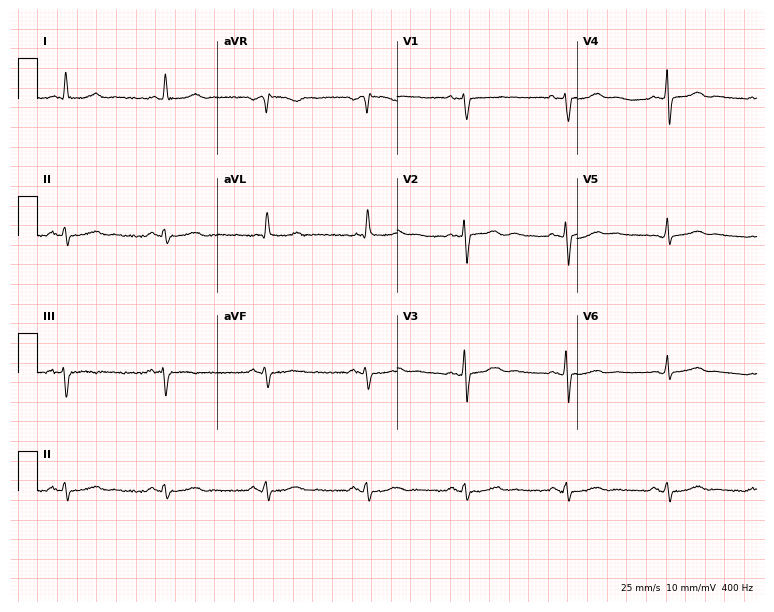
Standard 12-lead ECG recorded from a 76-year-old female patient (7.3-second recording at 400 Hz). Read as a normal ECG.